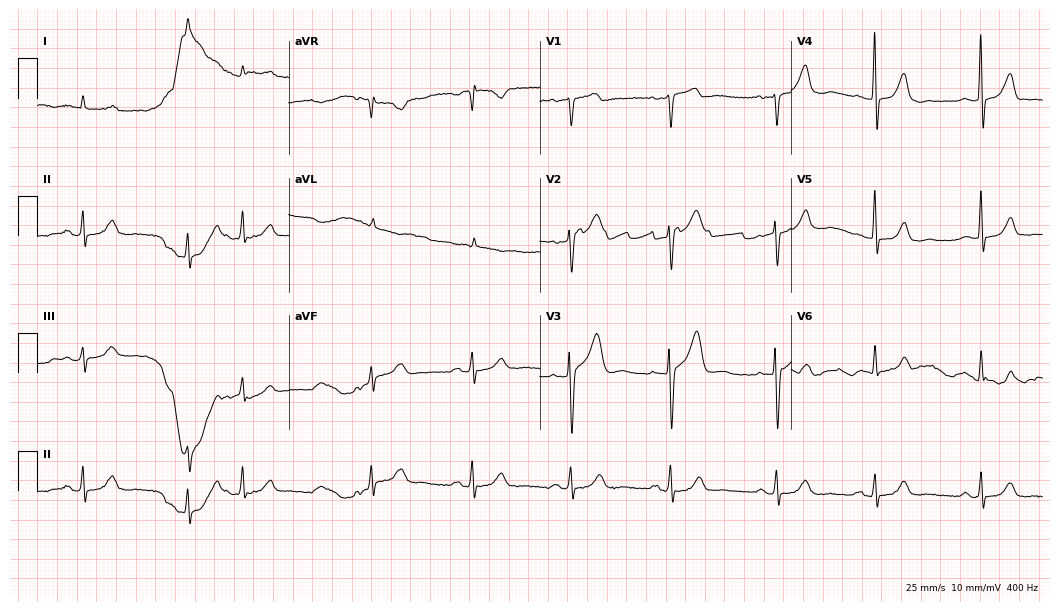
ECG (10.2-second recording at 400 Hz) — a male, 83 years old. Labelled as a normal ECG.